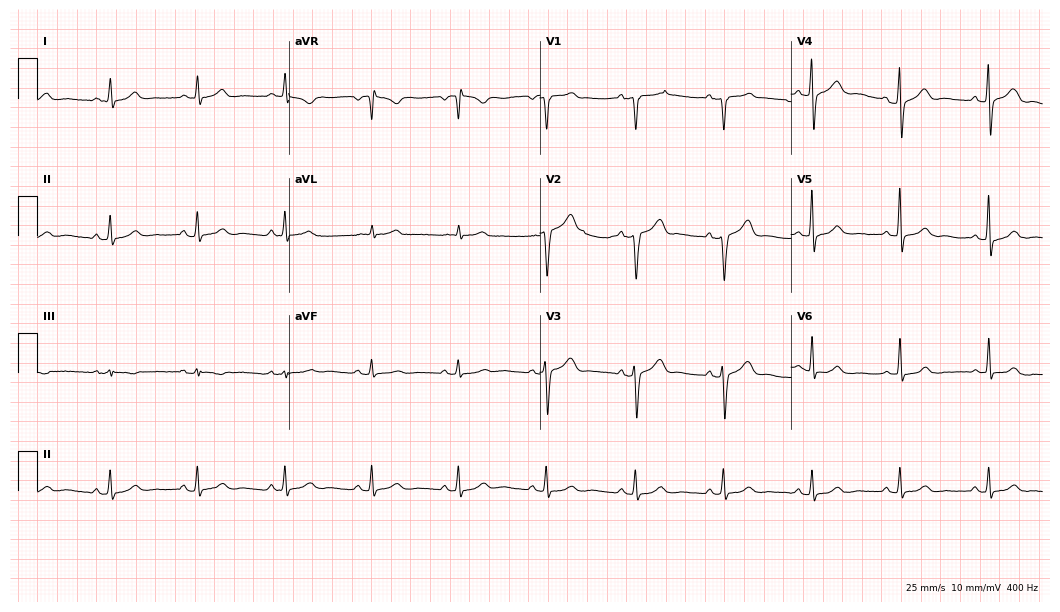
12-lead ECG from a 54-year-old man. Recorded interpretation: within normal limits.